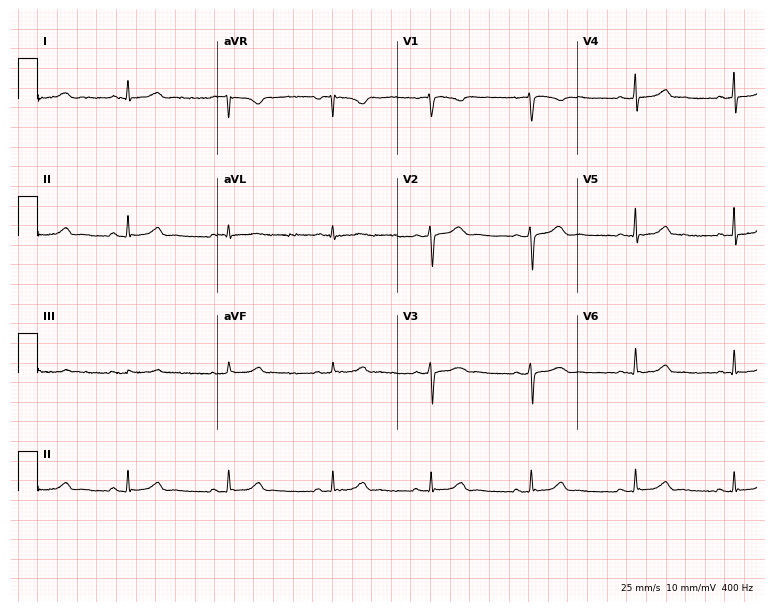
Standard 12-lead ECG recorded from a 34-year-old female patient. Read as a normal ECG.